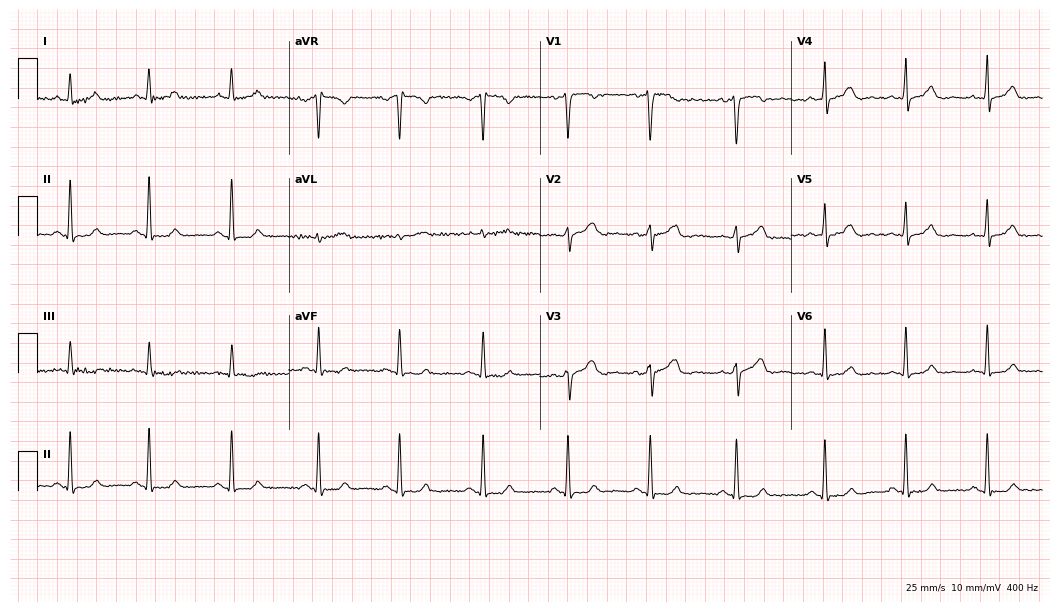
Electrocardiogram (10.2-second recording at 400 Hz), a female patient, 39 years old. Overall reading on record: normal ECG.